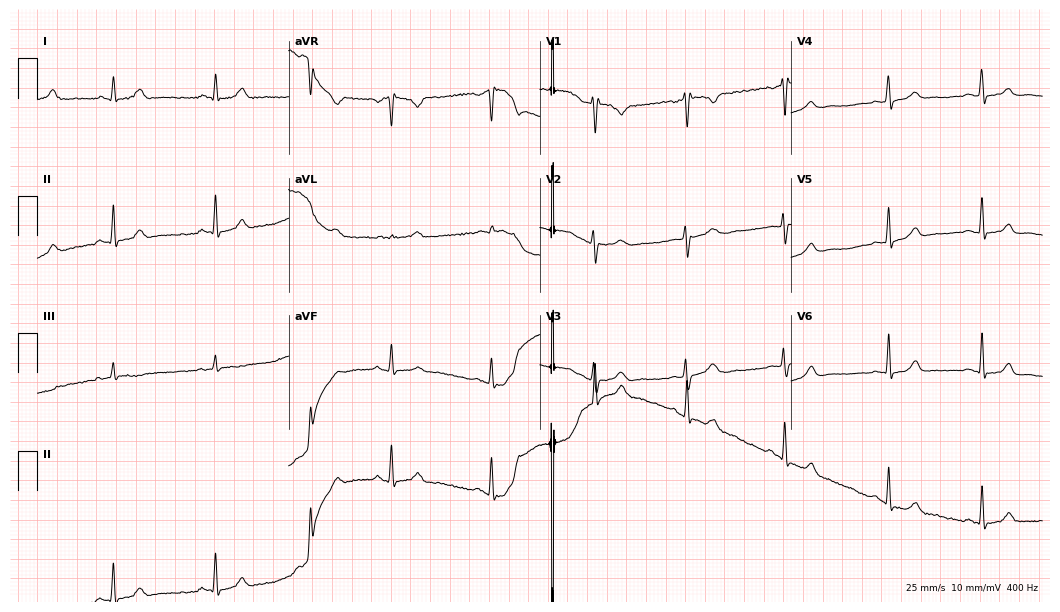
Electrocardiogram (10.2-second recording at 400 Hz), a 24-year-old woman. Overall reading on record: normal ECG.